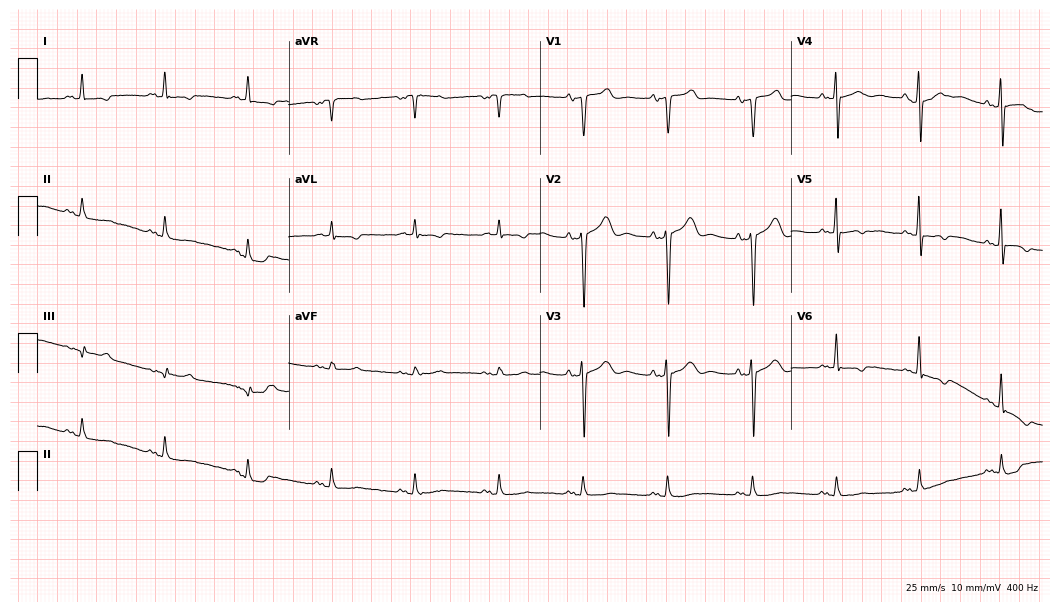
Resting 12-lead electrocardiogram. Patient: a 73-year-old male. None of these six findings is recorded: first-degree AV block, right bundle branch block, left bundle branch block, sinus bradycardia, atrial fibrillation, sinus tachycardia. Findings outside these six are not listed.